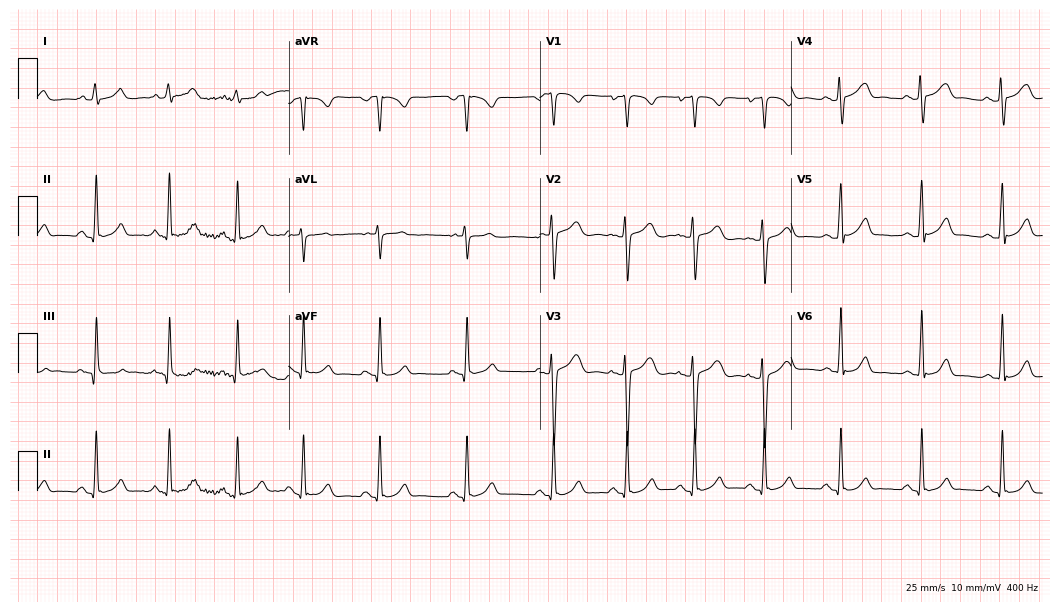
Electrocardiogram, a female, 20 years old. Overall reading on record: normal ECG.